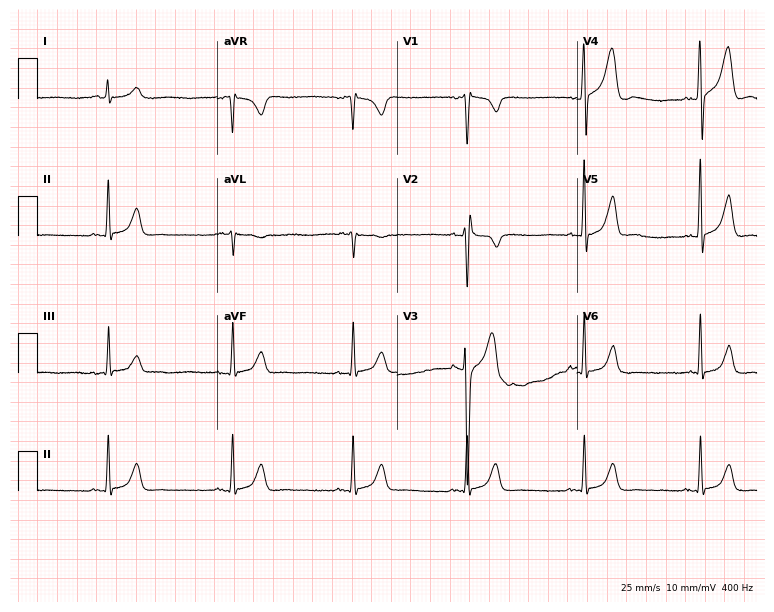
Resting 12-lead electrocardiogram. Patient: a 25-year-old male. None of these six findings is recorded: first-degree AV block, right bundle branch block, left bundle branch block, sinus bradycardia, atrial fibrillation, sinus tachycardia. Findings outside these six are not listed.